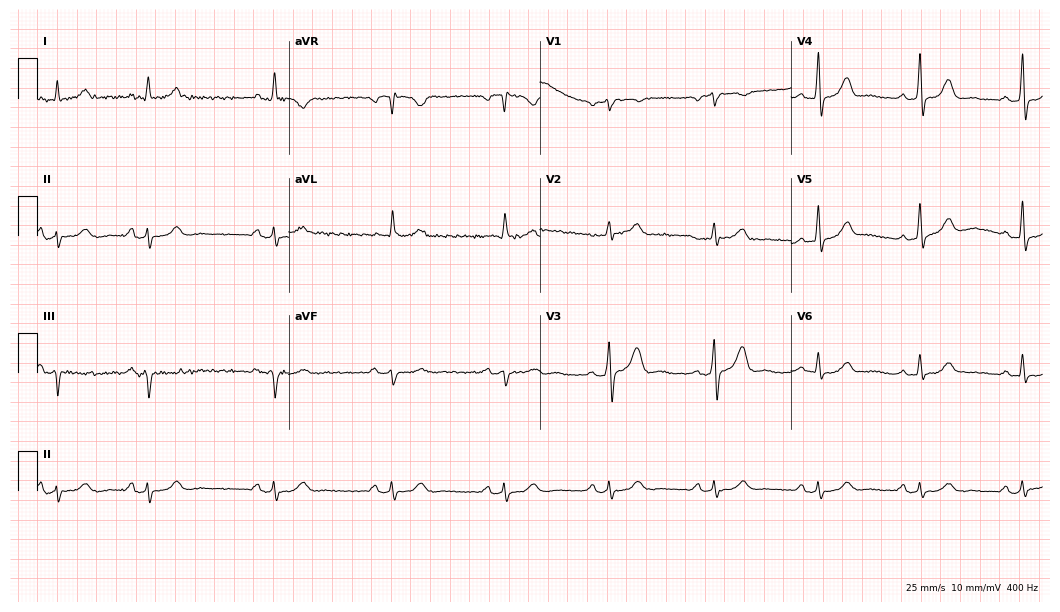
12-lead ECG (10.2-second recording at 400 Hz) from a male, 62 years old. Screened for six findings — first-degree AV block, right bundle branch block, left bundle branch block, sinus bradycardia, atrial fibrillation, sinus tachycardia — none is recorded.